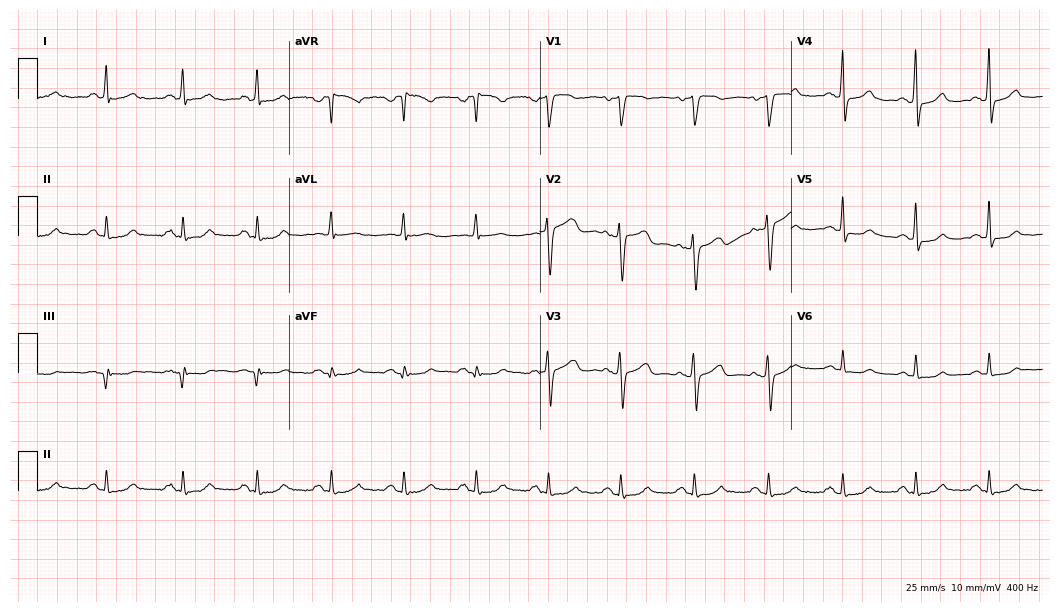
Resting 12-lead electrocardiogram. Patient: a woman, 45 years old. None of these six findings is recorded: first-degree AV block, right bundle branch block (RBBB), left bundle branch block (LBBB), sinus bradycardia, atrial fibrillation (AF), sinus tachycardia.